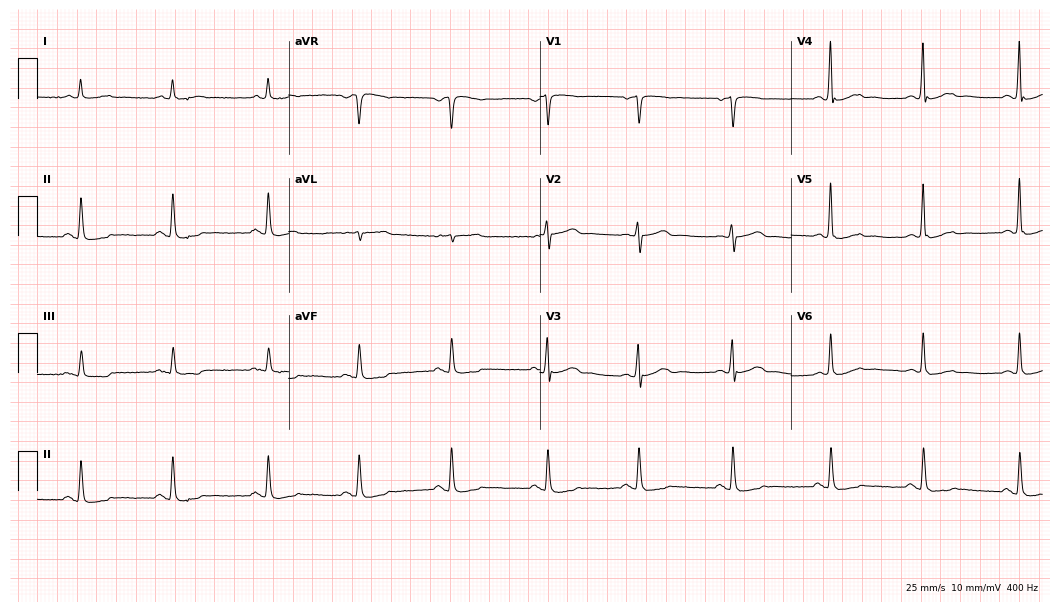
12-lead ECG from a male patient, 77 years old (10.2-second recording at 400 Hz). No first-degree AV block, right bundle branch block, left bundle branch block, sinus bradycardia, atrial fibrillation or sinus tachycardia recorded for this tracing.